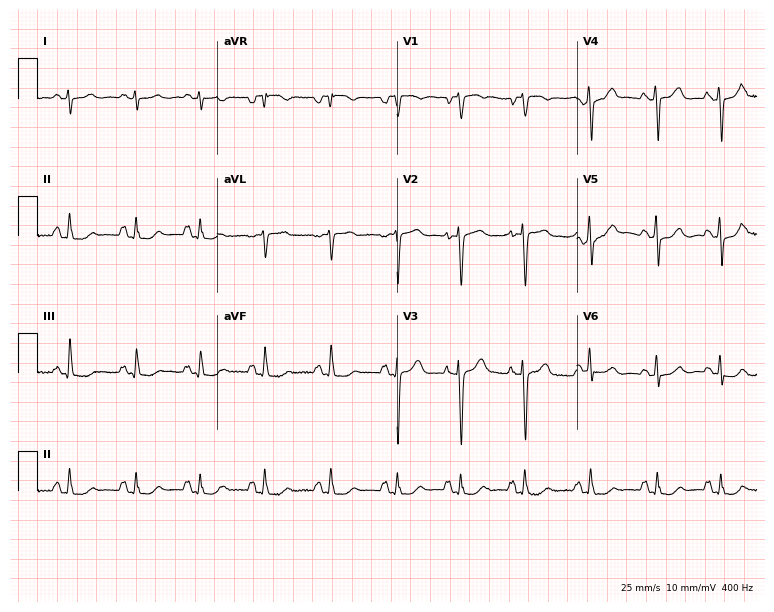
12-lead ECG from a 54-year-old male patient (7.3-second recording at 400 Hz). Recorded interpretation: within normal limits.